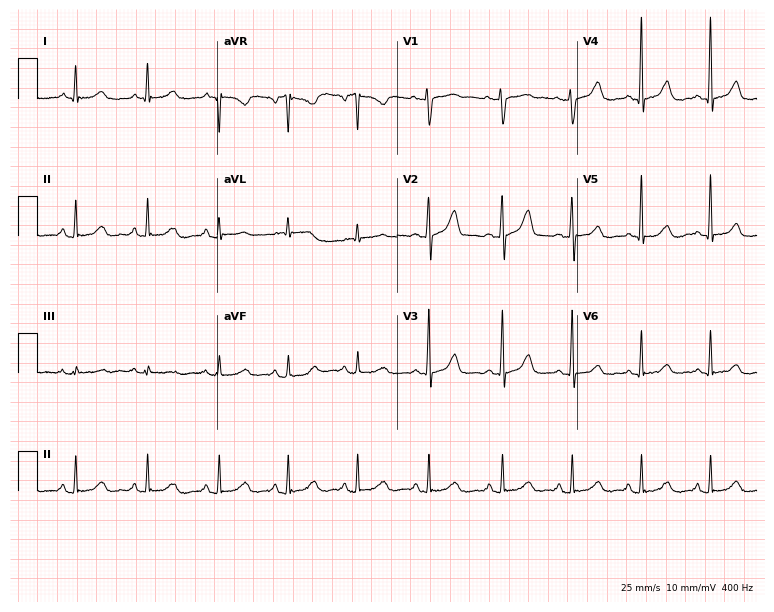
12-lead ECG (7.3-second recording at 400 Hz) from a 62-year-old female. Labelled as a normal ECG.